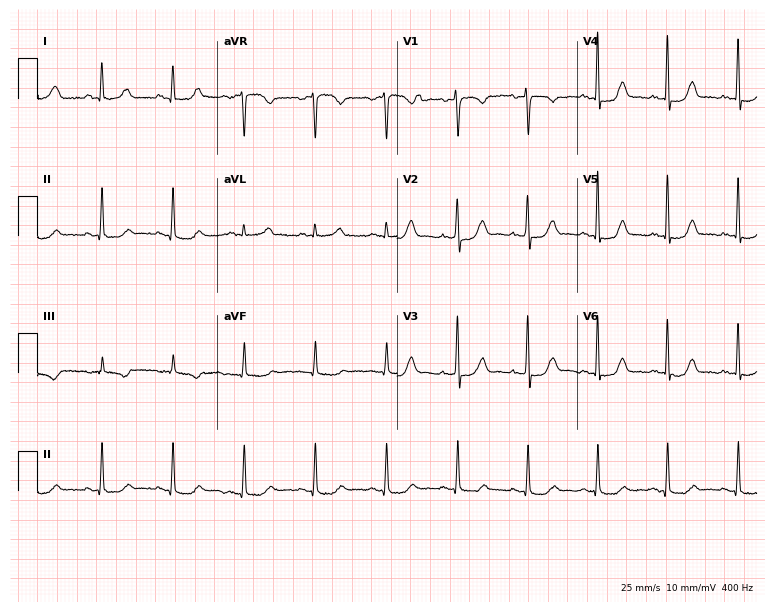
Resting 12-lead electrocardiogram (7.3-second recording at 400 Hz). Patient: a 34-year-old female. Read as a normal ECG.